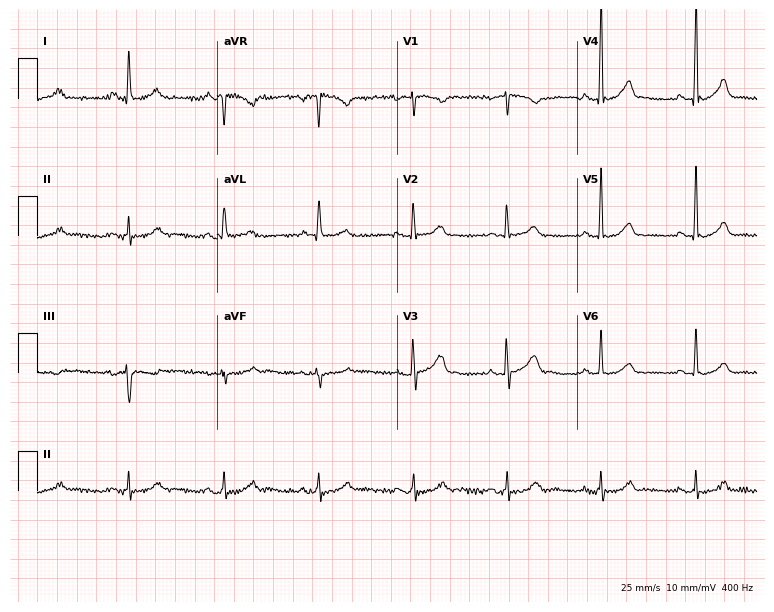
Resting 12-lead electrocardiogram (7.3-second recording at 400 Hz). Patient: a 67-year-old male. Read as a normal ECG.